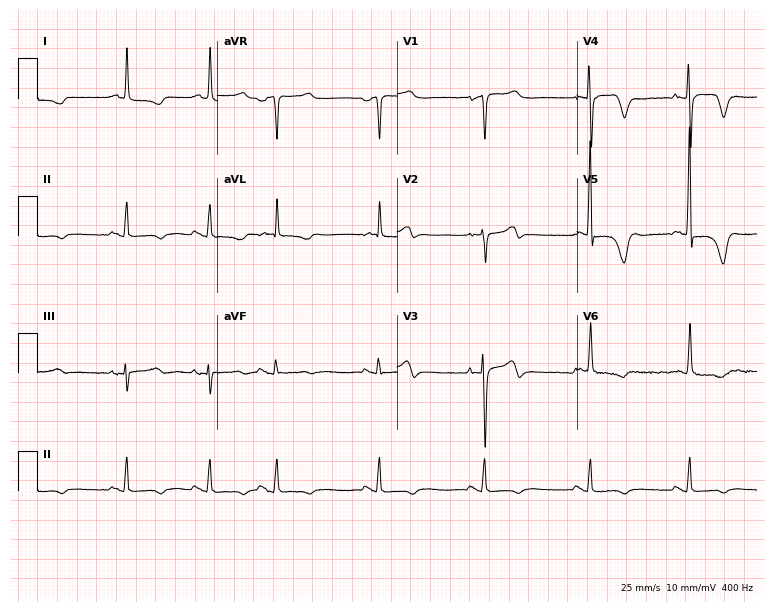
Resting 12-lead electrocardiogram (7.3-second recording at 400 Hz). Patient: a female, 76 years old. None of these six findings is recorded: first-degree AV block, right bundle branch block, left bundle branch block, sinus bradycardia, atrial fibrillation, sinus tachycardia.